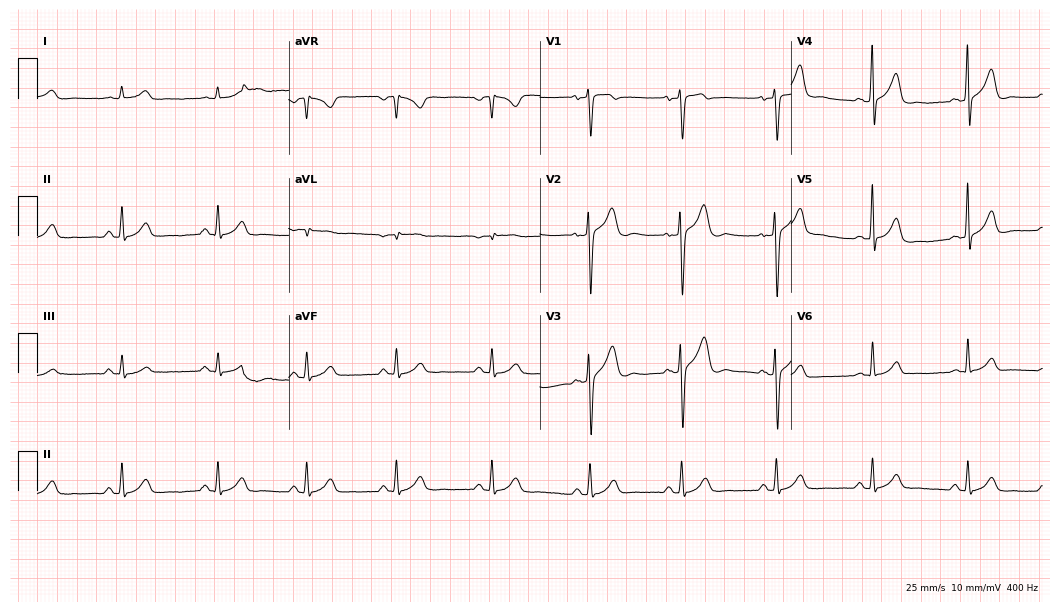
12-lead ECG from a male, 37 years old. Labelled as a normal ECG.